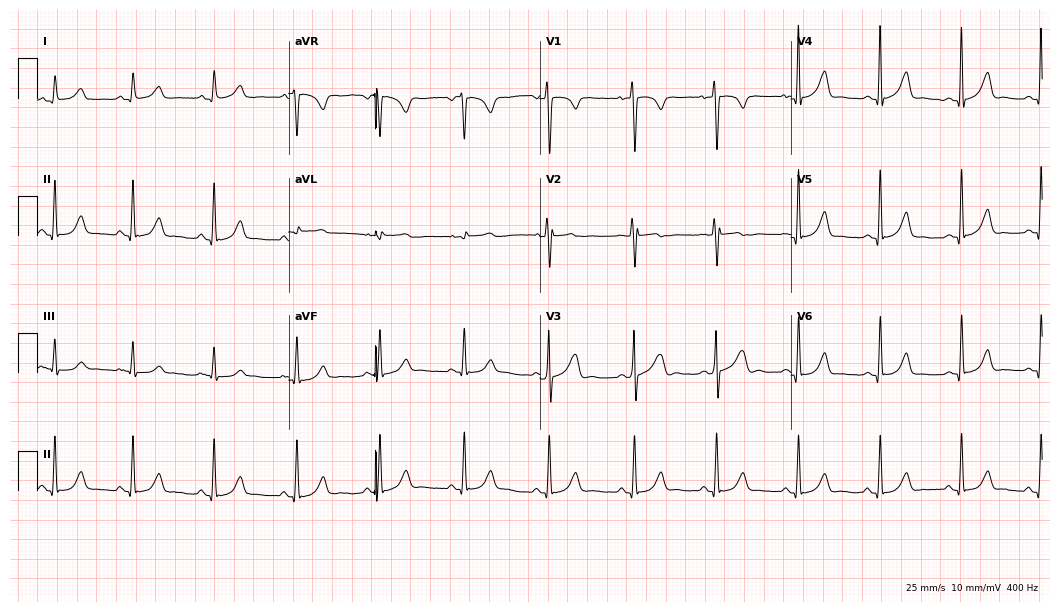
Resting 12-lead electrocardiogram (10.2-second recording at 400 Hz). Patient: a 52-year-old female. Read as a normal ECG.